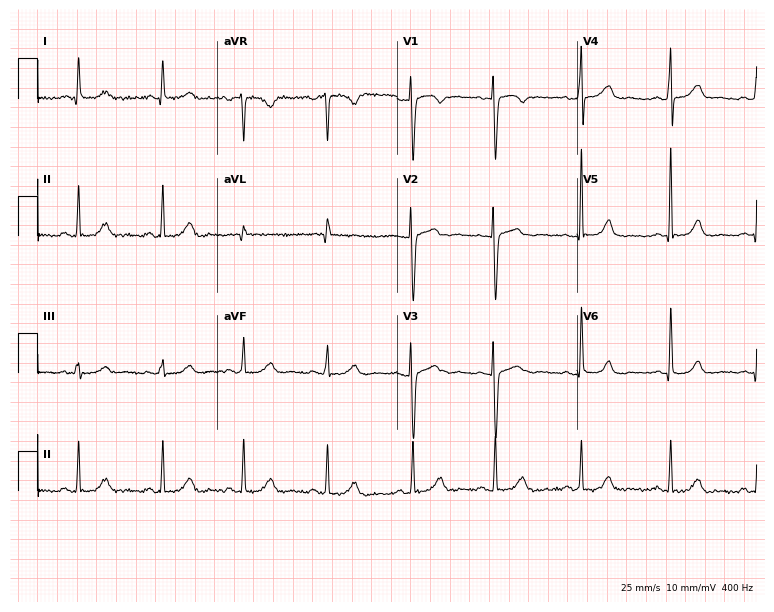
12-lead ECG (7.3-second recording at 400 Hz) from a 52-year-old woman. Screened for six findings — first-degree AV block, right bundle branch block, left bundle branch block, sinus bradycardia, atrial fibrillation, sinus tachycardia — none is recorded. Other findings, if any, are not listed.